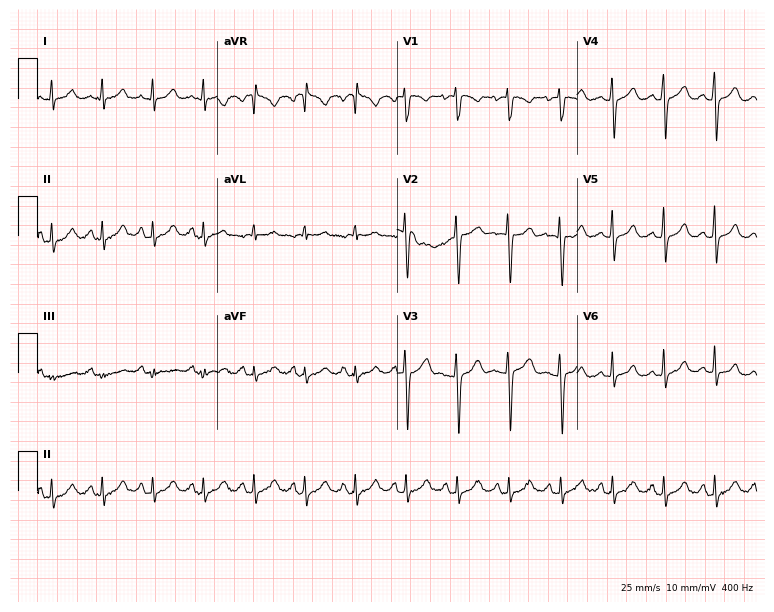
12-lead ECG from a female patient, 34 years old. Findings include sinus tachycardia (a sinus rate of 100 beats per minute or more).